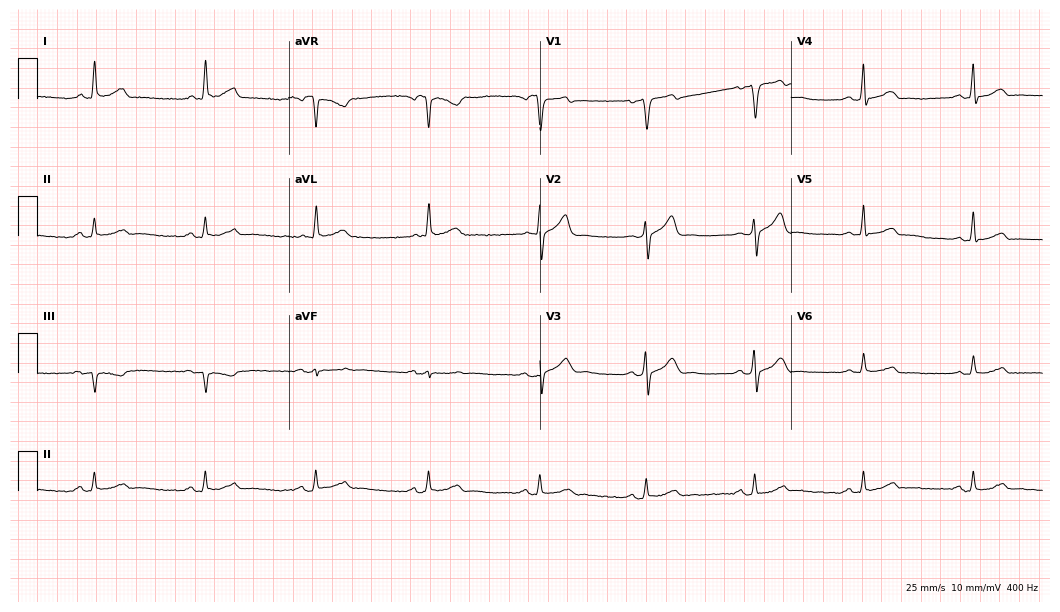
Electrocardiogram (10.2-second recording at 400 Hz), a male patient, 59 years old. Overall reading on record: normal ECG.